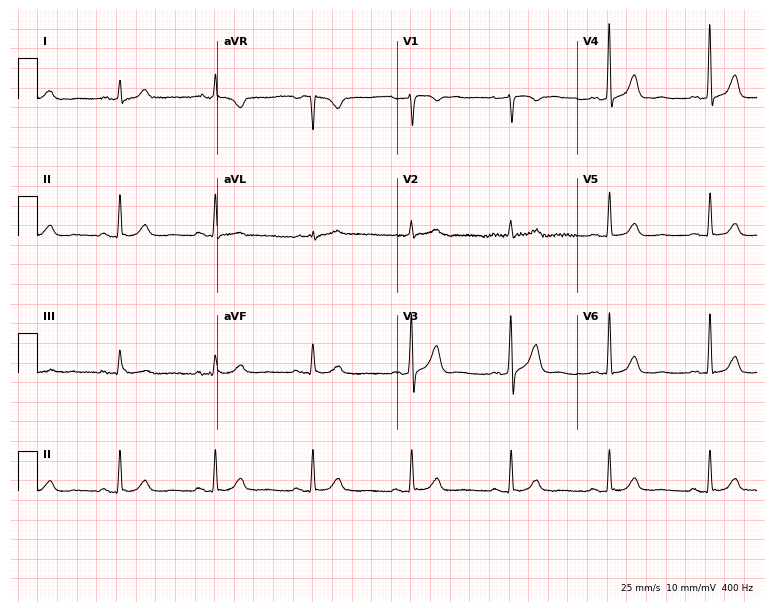
ECG (7.3-second recording at 400 Hz) — a 54-year-old man. Labelled as a normal ECG.